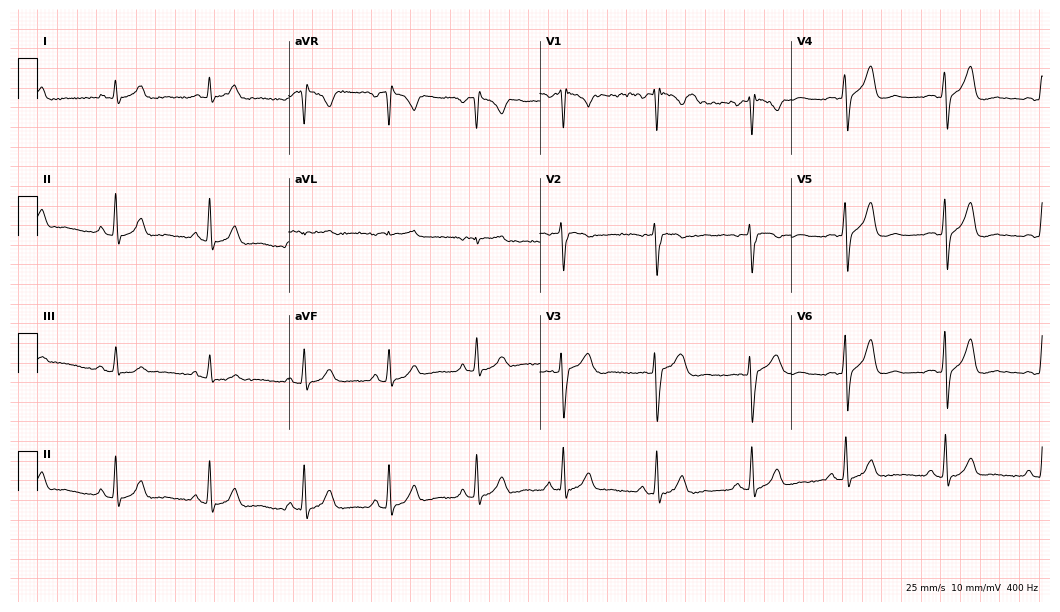
Electrocardiogram, a 25-year-old male. Overall reading on record: normal ECG.